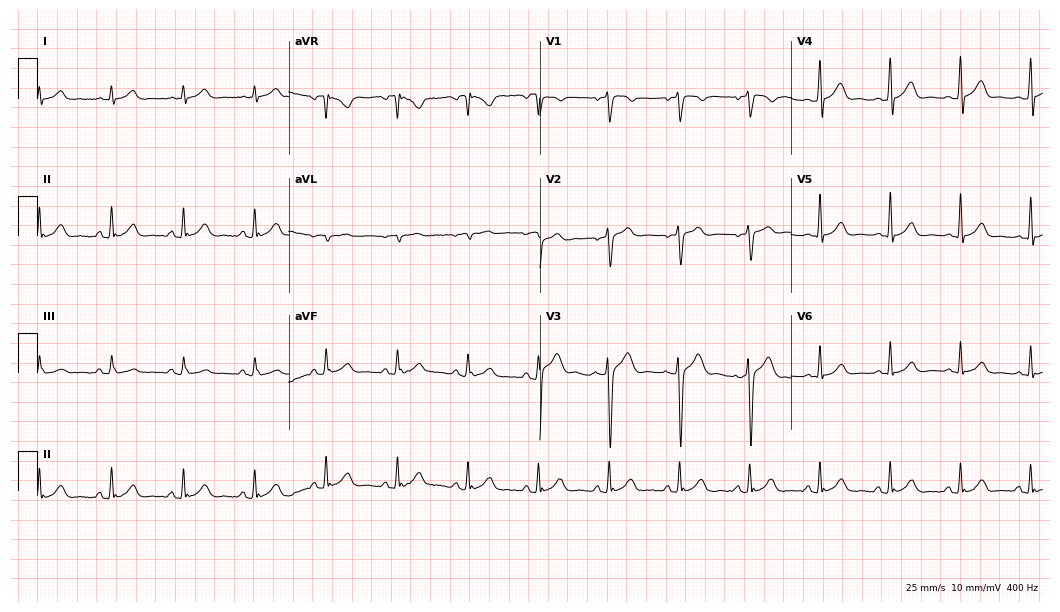
Electrocardiogram, a 26-year-old male patient. Overall reading on record: normal ECG.